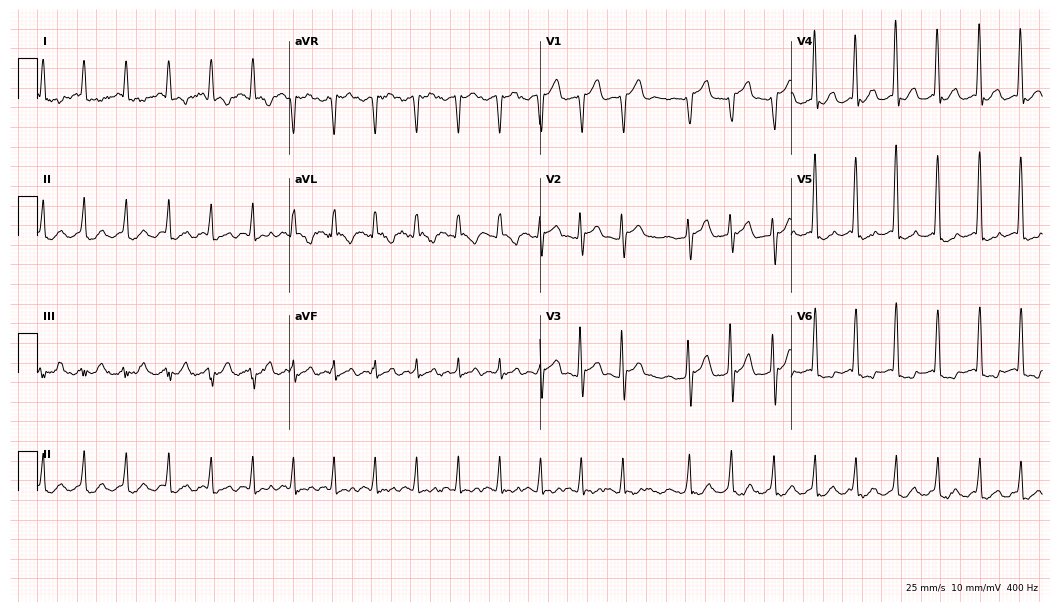
Resting 12-lead electrocardiogram (10.2-second recording at 400 Hz). Patient: a male, 61 years old. The tracing shows sinus tachycardia (a sinus rate of 100 beats per minute or more).